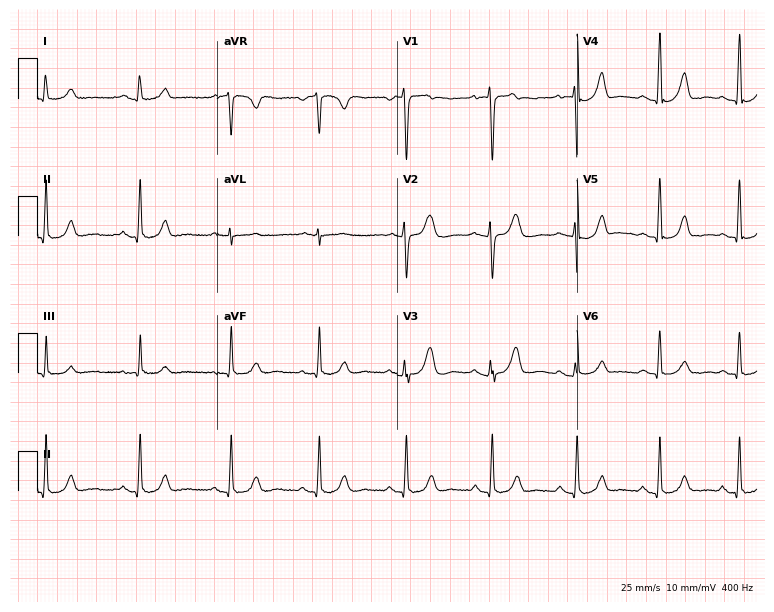
12-lead ECG (7.3-second recording at 400 Hz) from a female, 39 years old. Labelled as a normal ECG.